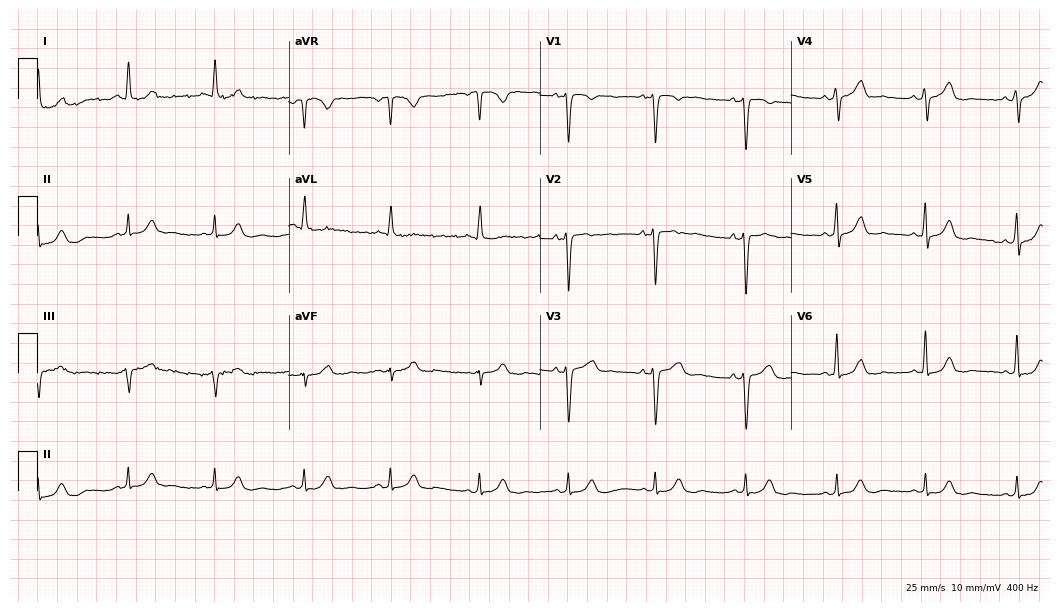
Electrocardiogram, a 48-year-old female patient. Overall reading on record: normal ECG.